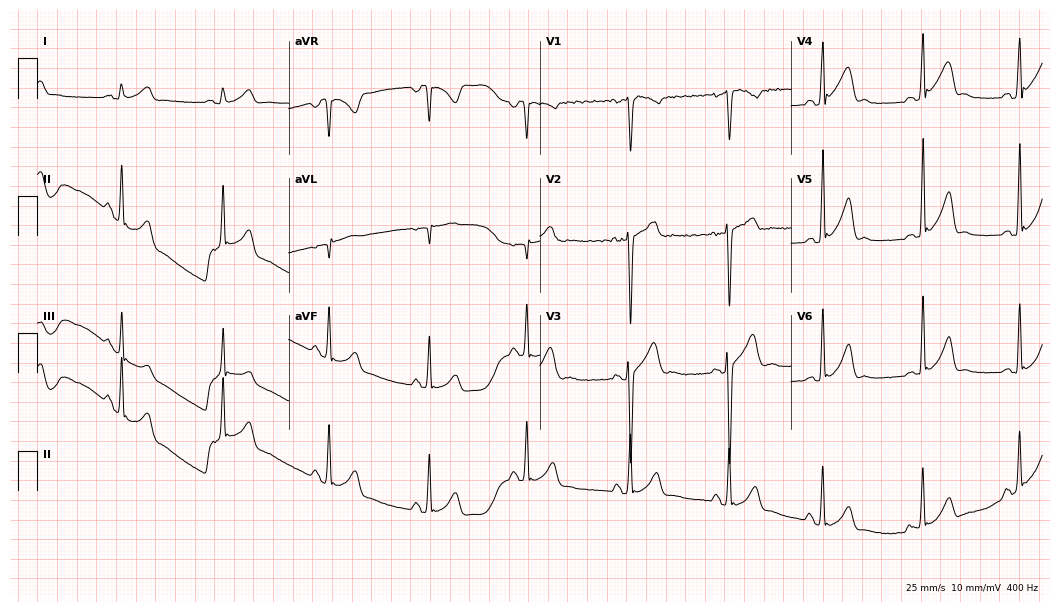
Electrocardiogram, a male, 19 years old. Overall reading on record: normal ECG.